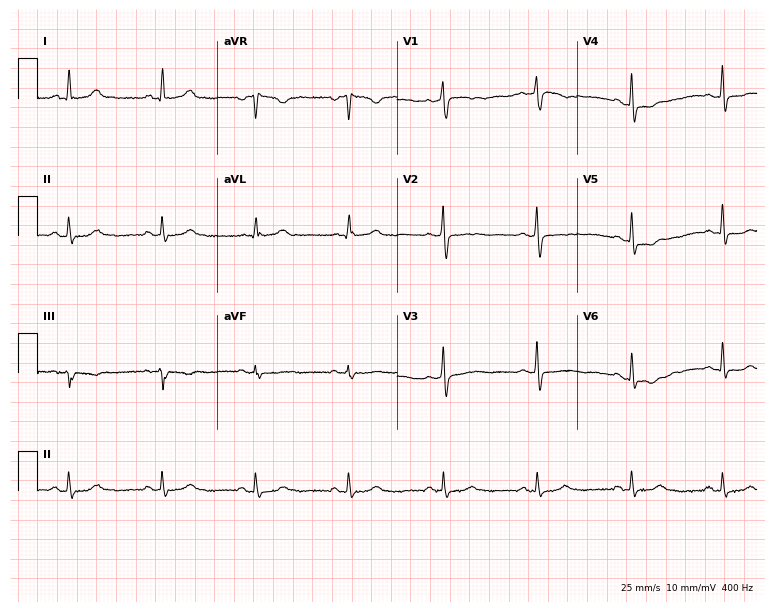
12-lead ECG from a female, 60 years old (7.3-second recording at 400 Hz). No first-degree AV block, right bundle branch block, left bundle branch block, sinus bradycardia, atrial fibrillation or sinus tachycardia recorded for this tracing.